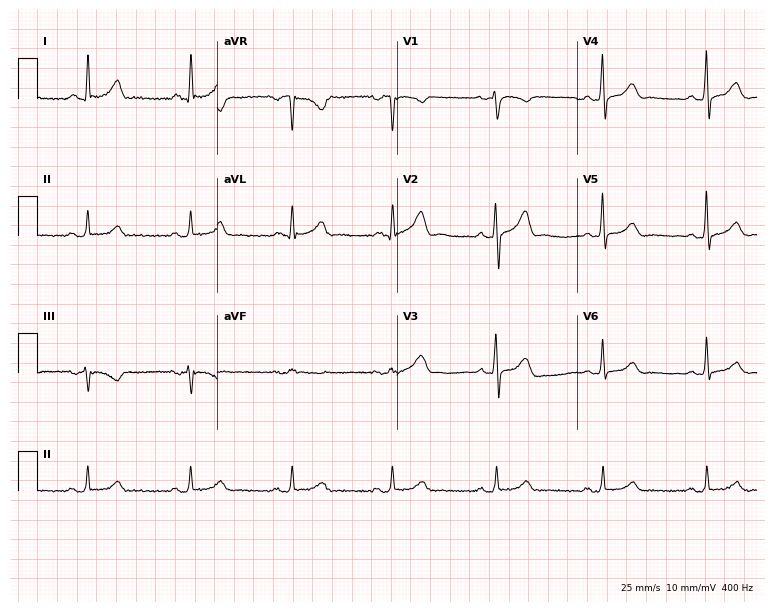
12-lead ECG from a man, 73 years old. Recorded interpretation: within normal limits.